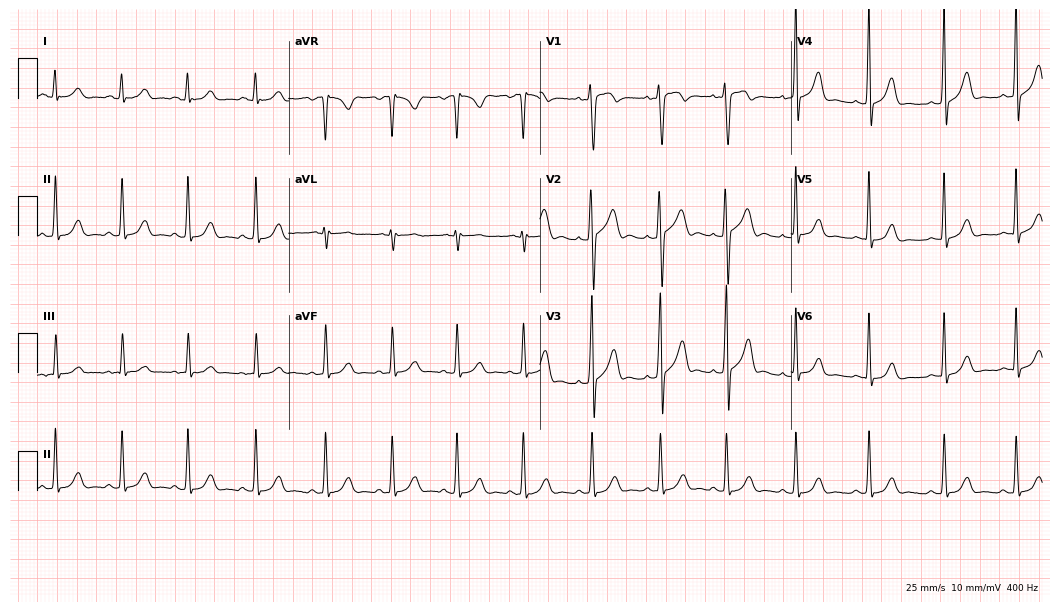
Electrocardiogram (10.2-second recording at 400 Hz), a man, 20 years old. Overall reading on record: normal ECG.